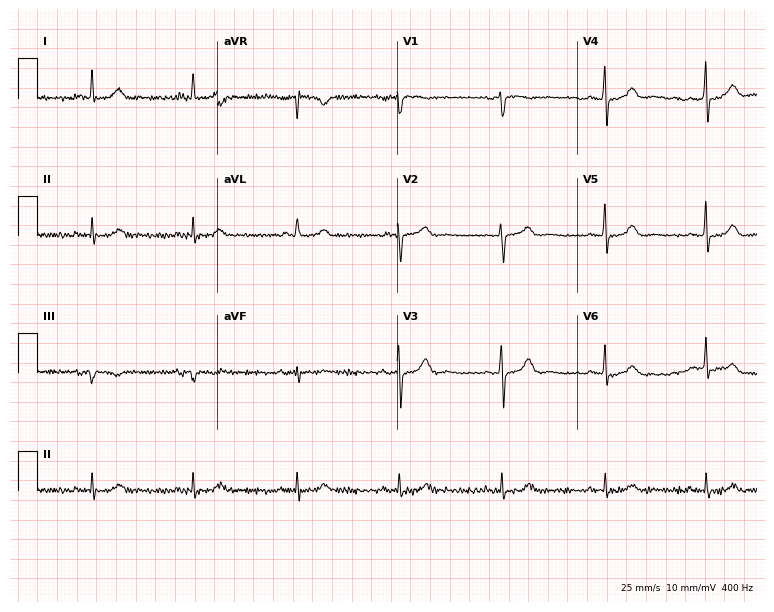
Resting 12-lead electrocardiogram (7.3-second recording at 400 Hz). Patient: a 65-year-old woman. Read as a normal ECG.